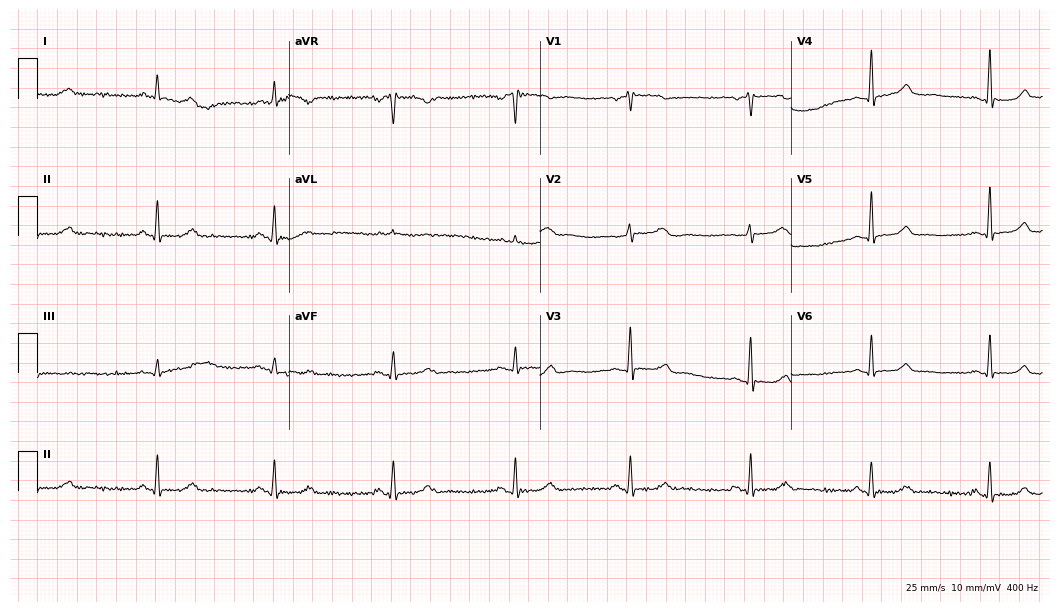
12-lead ECG (10.2-second recording at 400 Hz) from a woman, 50 years old. Labelled as a normal ECG.